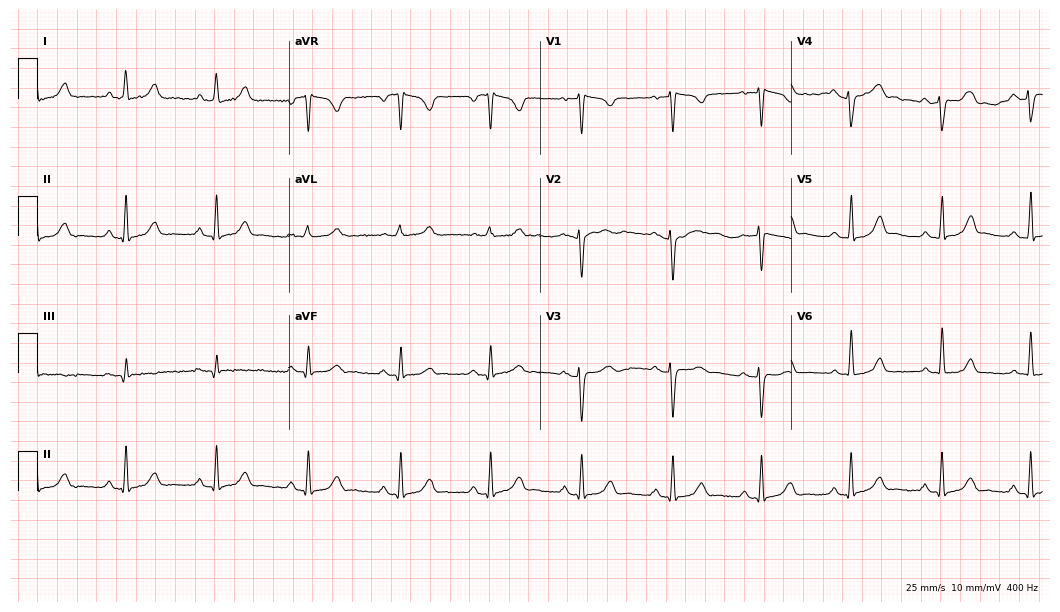
ECG (10.2-second recording at 400 Hz) — a 47-year-old female patient. Labelled as a normal ECG.